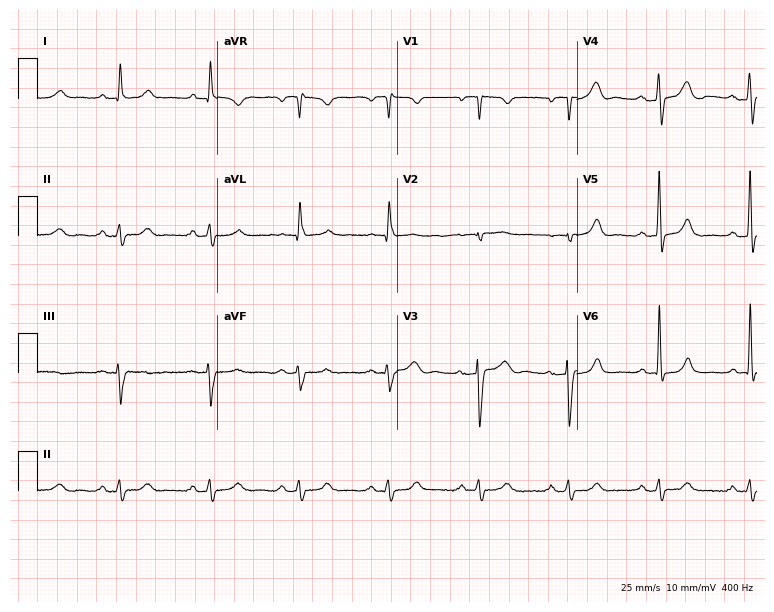
Standard 12-lead ECG recorded from a male, 62 years old. The tracing shows first-degree AV block.